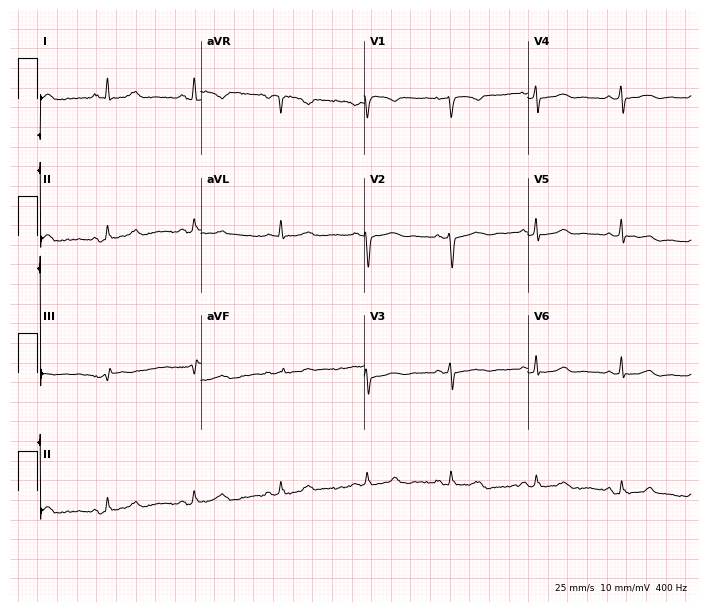
12-lead ECG from a female patient, 54 years old. Screened for six findings — first-degree AV block, right bundle branch block, left bundle branch block, sinus bradycardia, atrial fibrillation, sinus tachycardia — none is recorded.